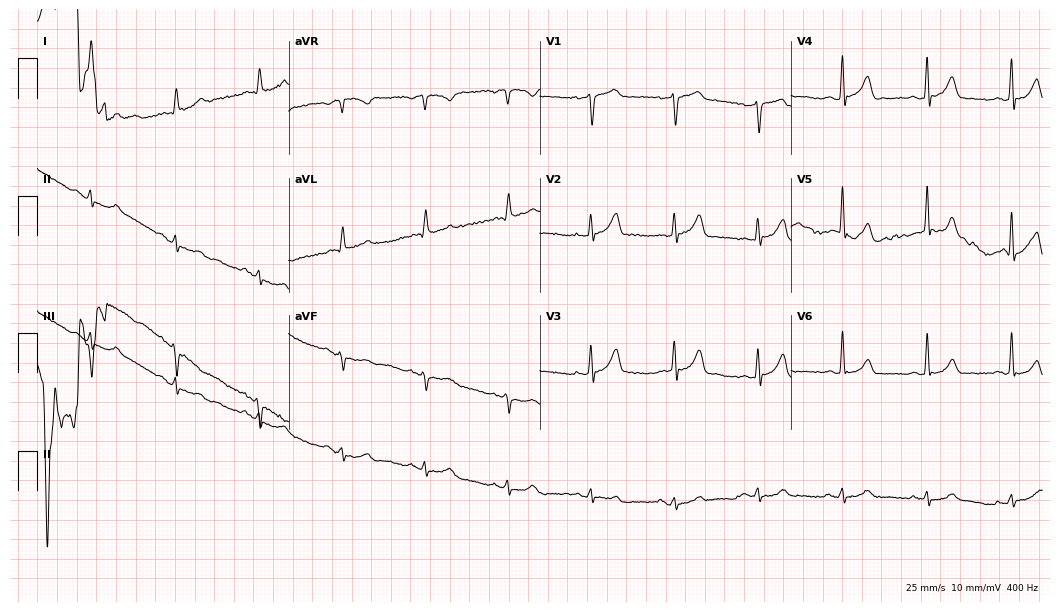
Resting 12-lead electrocardiogram (10.2-second recording at 400 Hz). Patient: a man, 81 years old. None of these six findings is recorded: first-degree AV block, right bundle branch block, left bundle branch block, sinus bradycardia, atrial fibrillation, sinus tachycardia.